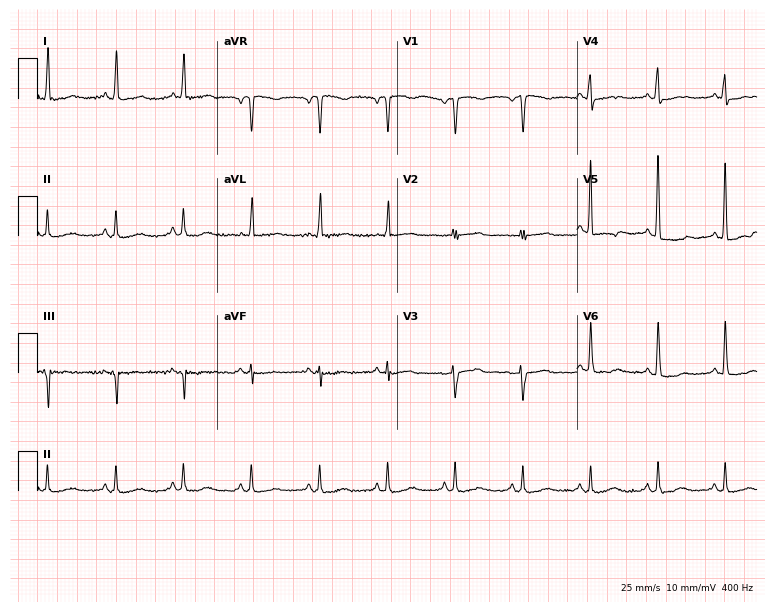
Electrocardiogram, a female, 78 years old. Of the six screened findings (first-degree AV block, right bundle branch block (RBBB), left bundle branch block (LBBB), sinus bradycardia, atrial fibrillation (AF), sinus tachycardia), none is recorded.